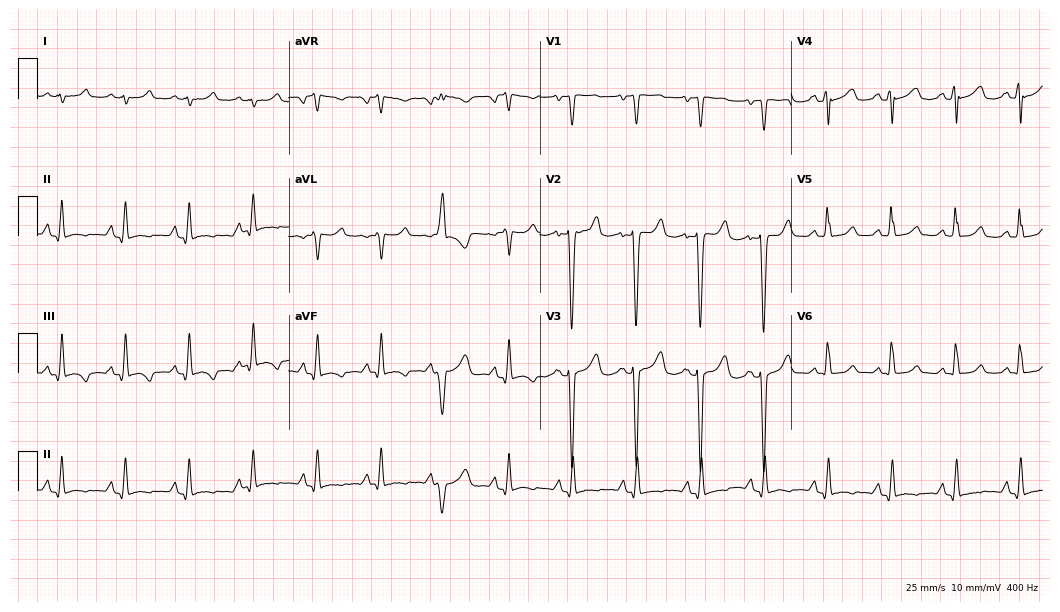
Standard 12-lead ECG recorded from a 56-year-old female. None of these six findings is recorded: first-degree AV block, right bundle branch block (RBBB), left bundle branch block (LBBB), sinus bradycardia, atrial fibrillation (AF), sinus tachycardia. Only these six findings were labelled.